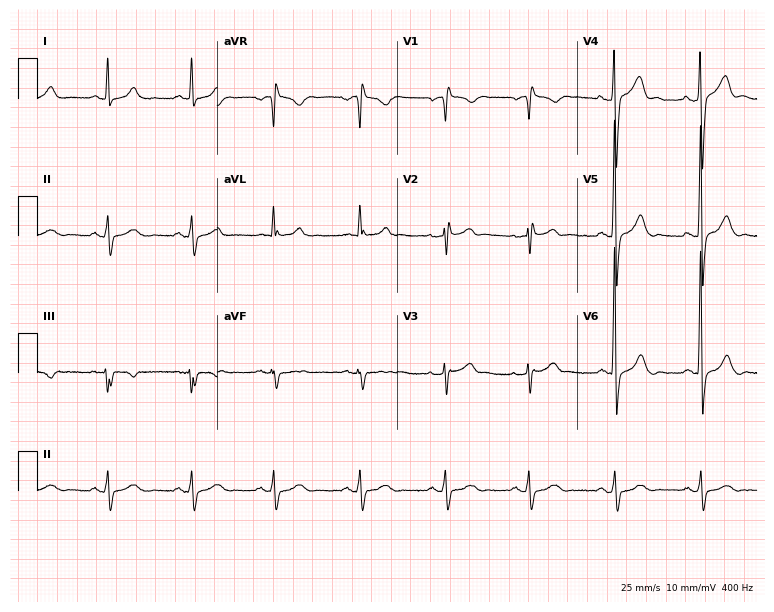
ECG (7.3-second recording at 400 Hz) — a male patient, 54 years old. Screened for six findings — first-degree AV block, right bundle branch block, left bundle branch block, sinus bradycardia, atrial fibrillation, sinus tachycardia — none is recorded. Only these six findings were labelled.